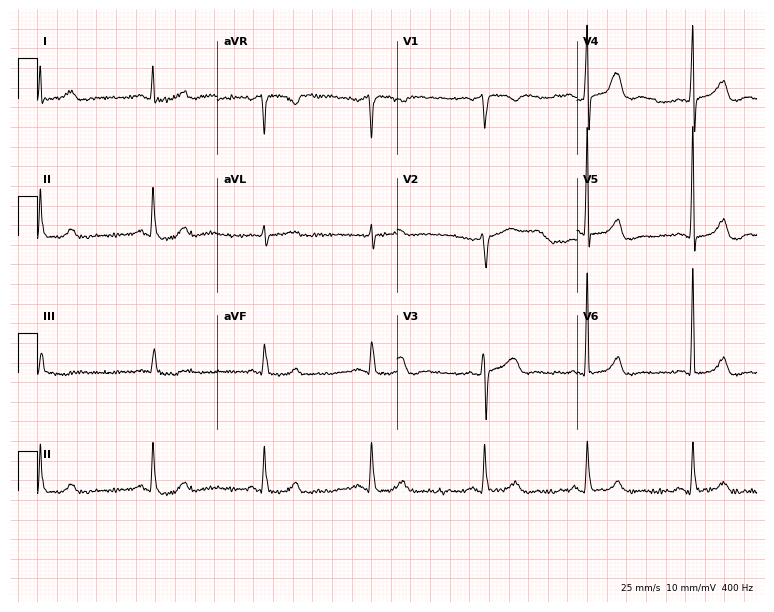
12-lead ECG from a 60-year-old female (7.3-second recording at 400 Hz). Recorded interpretation: within normal limits.